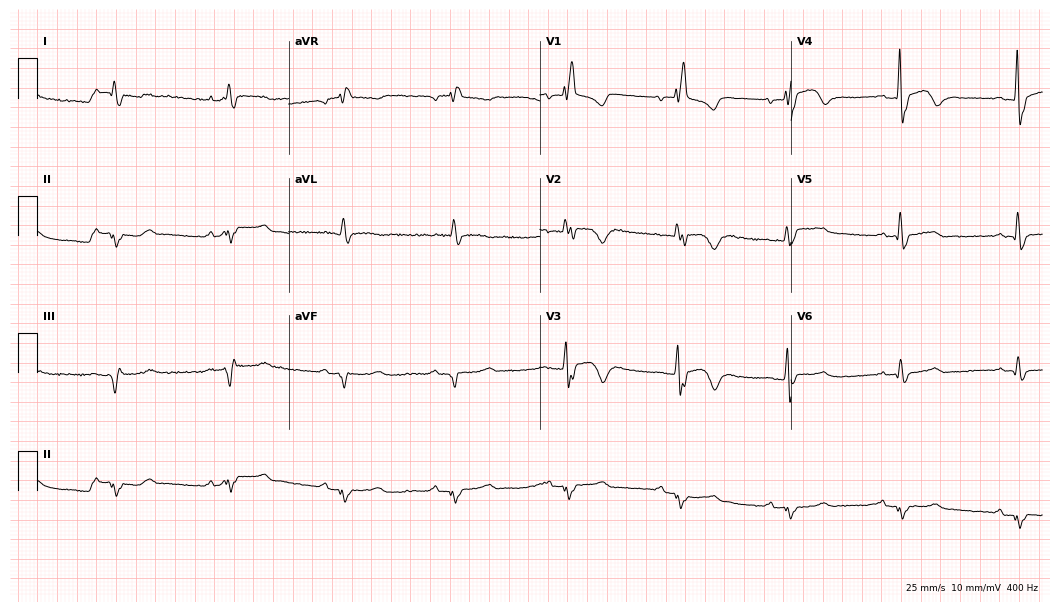
Resting 12-lead electrocardiogram. Patient: a 65-year-old woman. The tracing shows right bundle branch block.